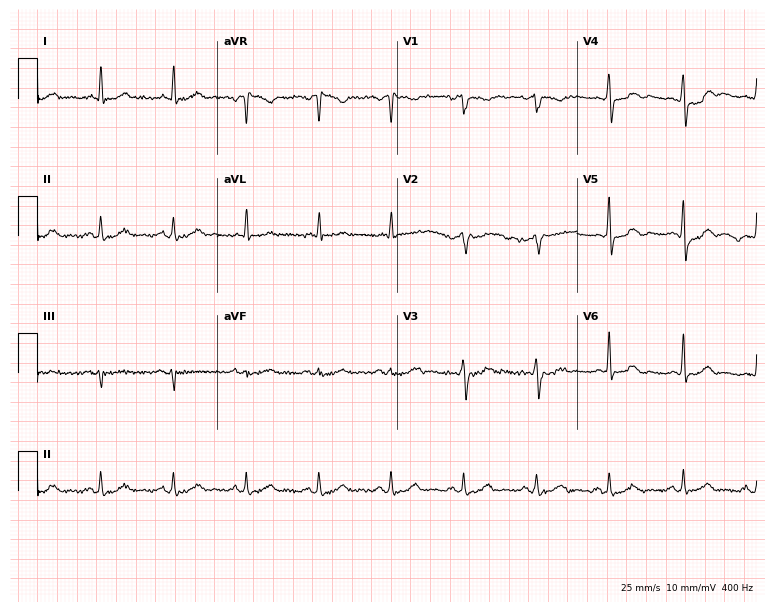
Standard 12-lead ECG recorded from a 62-year-old female patient (7.3-second recording at 400 Hz). Read as a normal ECG.